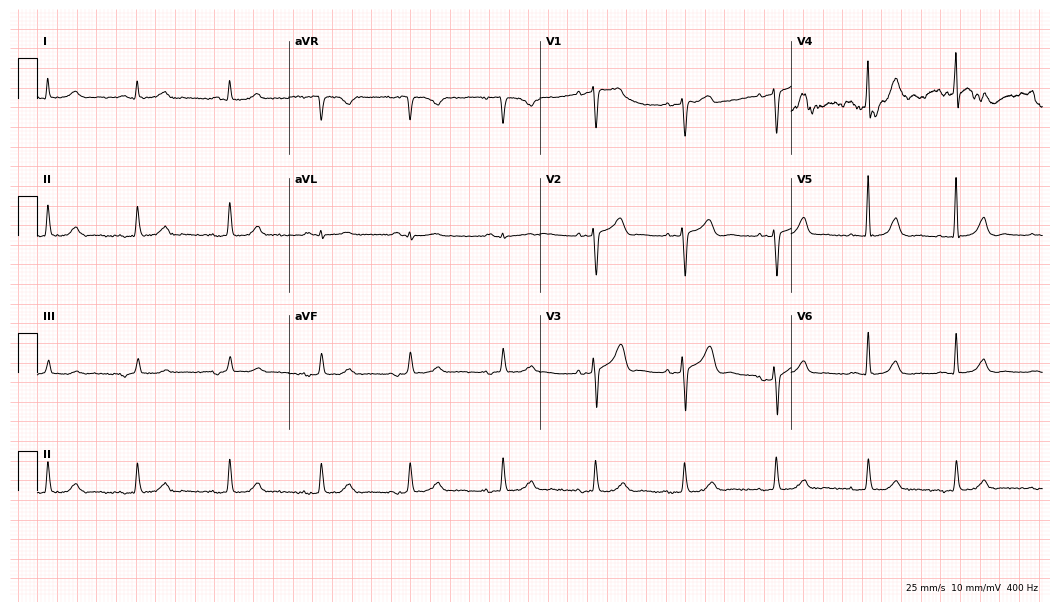
12-lead ECG from a 73-year-old male patient (10.2-second recording at 400 Hz). Recorded interpretation: within normal limits.